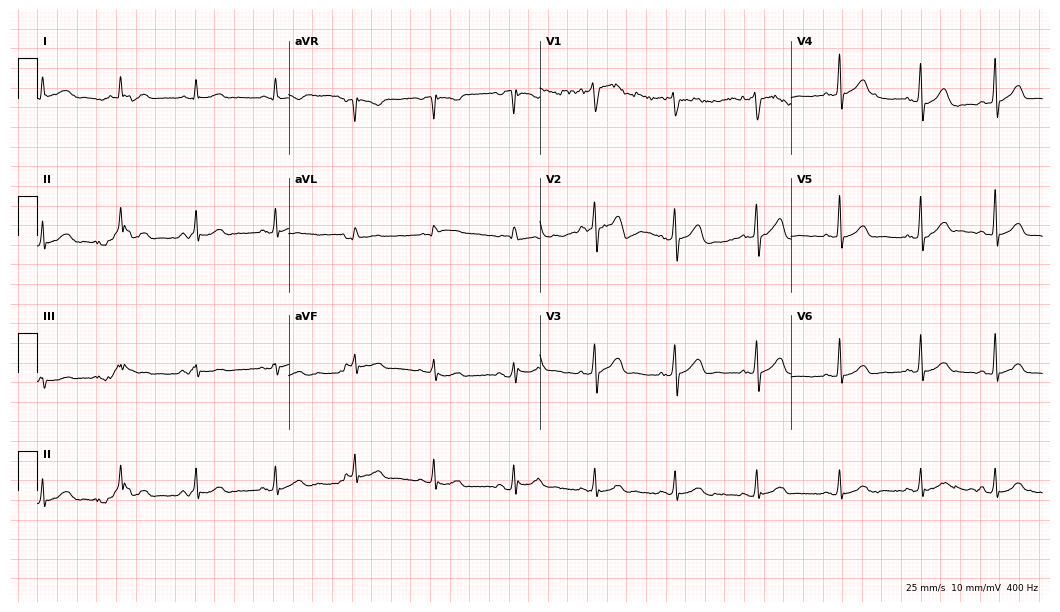
Electrocardiogram (10.2-second recording at 400 Hz), a male patient, 63 years old. Overall reading on record: normal ECG.